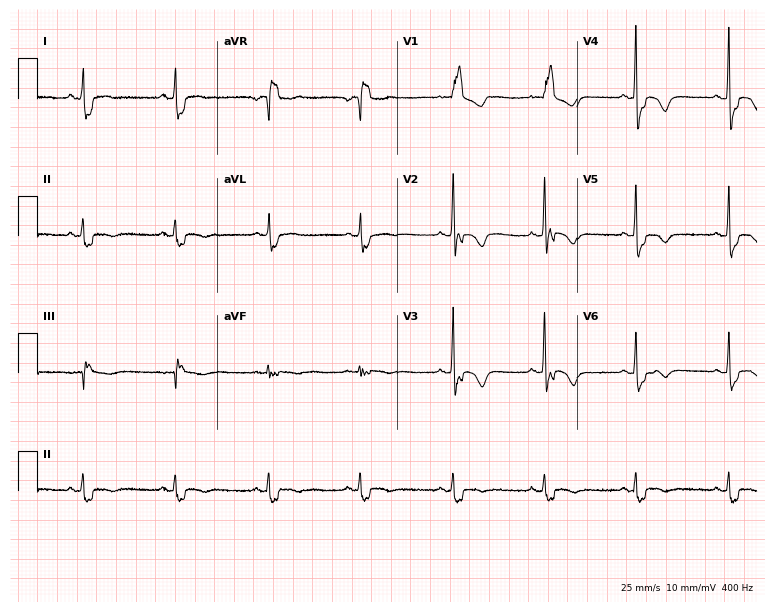
12-lead ECG from an 86-year-old woman. Shows right bundle branch block (RBBB).